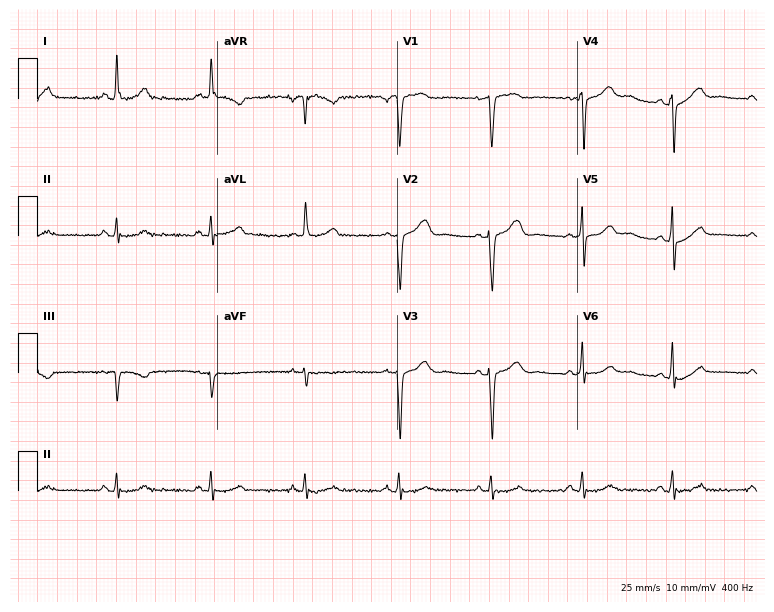
Electrocardiogram (7.3-second recording at 400 Hz), a woman, 52 years old. Of the six screened findings (first-degree AV block, right bundle branch block, left bundle branch block, sinus bradycardia, atrial fibrillation, sinus tachycardia), none is recorded.